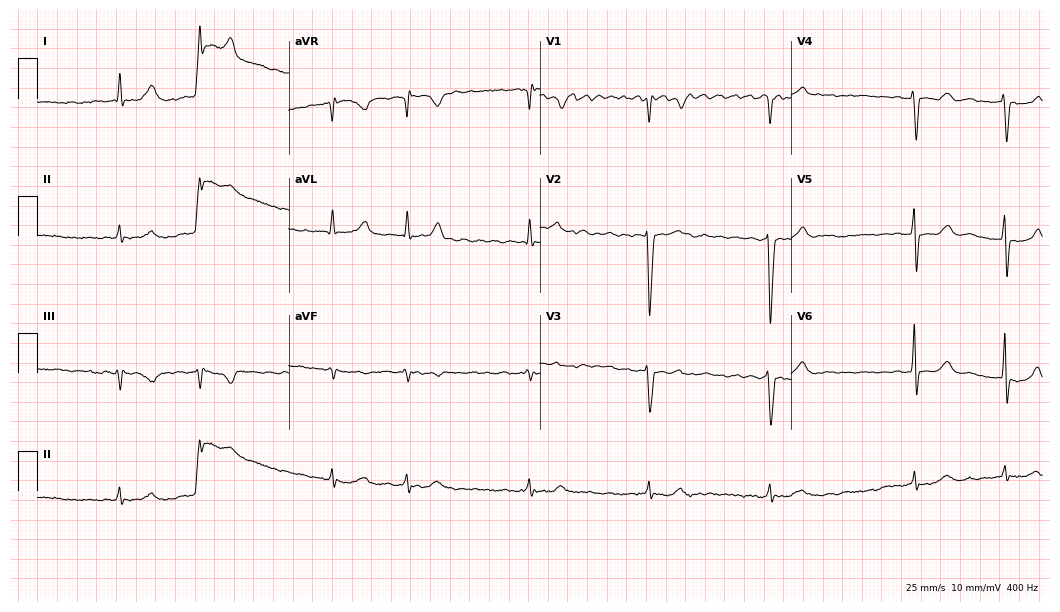
Electrocardiogram (10.2-second recording at 400 Hz), a 64-year-old male patient. Interpretation includes atrial fibrillation.